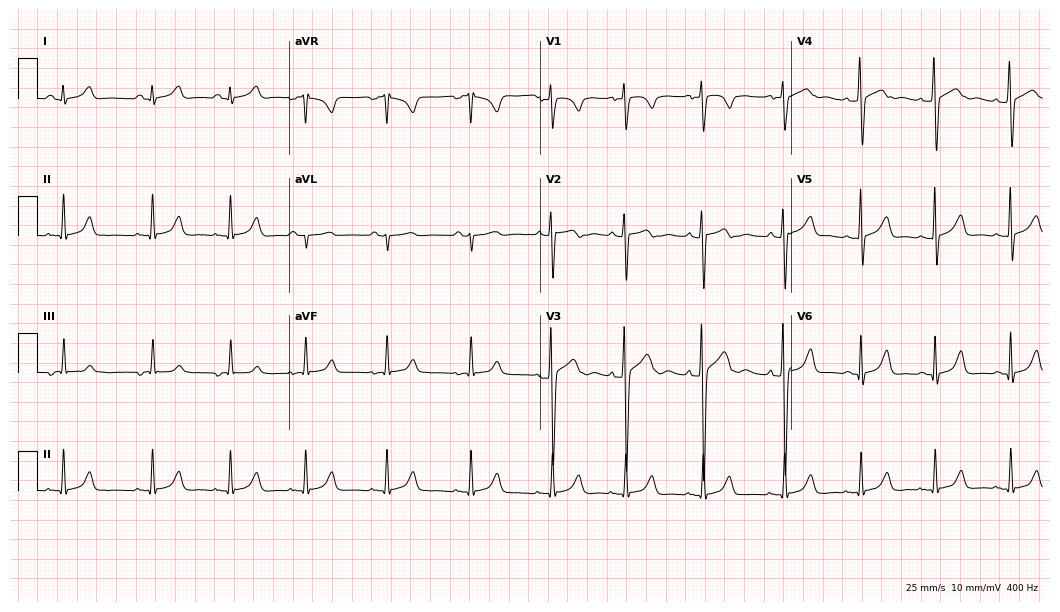
12-lead ECG (10.2-second recording at 400 Hz) from a man, 20 years old. Labelled as a normal ECG.